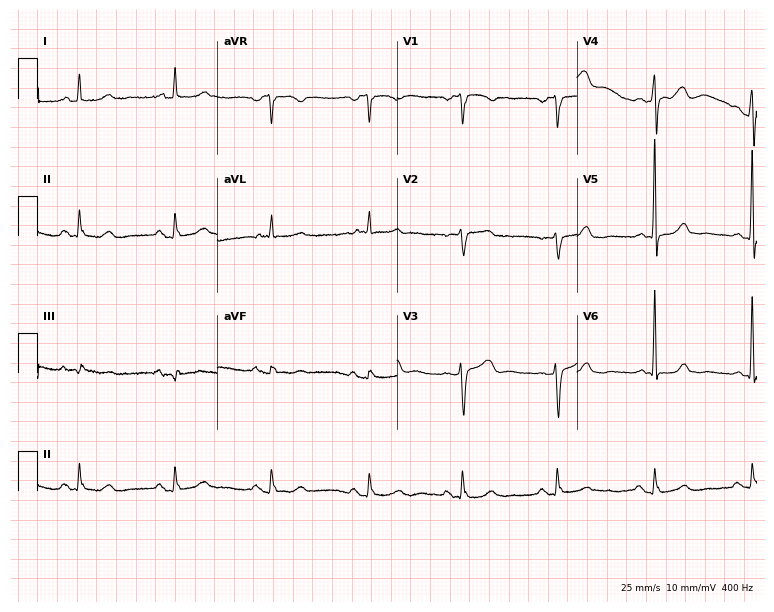
Resting 12-lead electrocardiogram. Patient: a 58-year-old female. None of these six findings is recorded: first-degree AV block, right bundle branch block, left bundle branch block, sinus bradycardia, atrial fibrillation, sinus tachycardia. Findings outside these six are not listed.